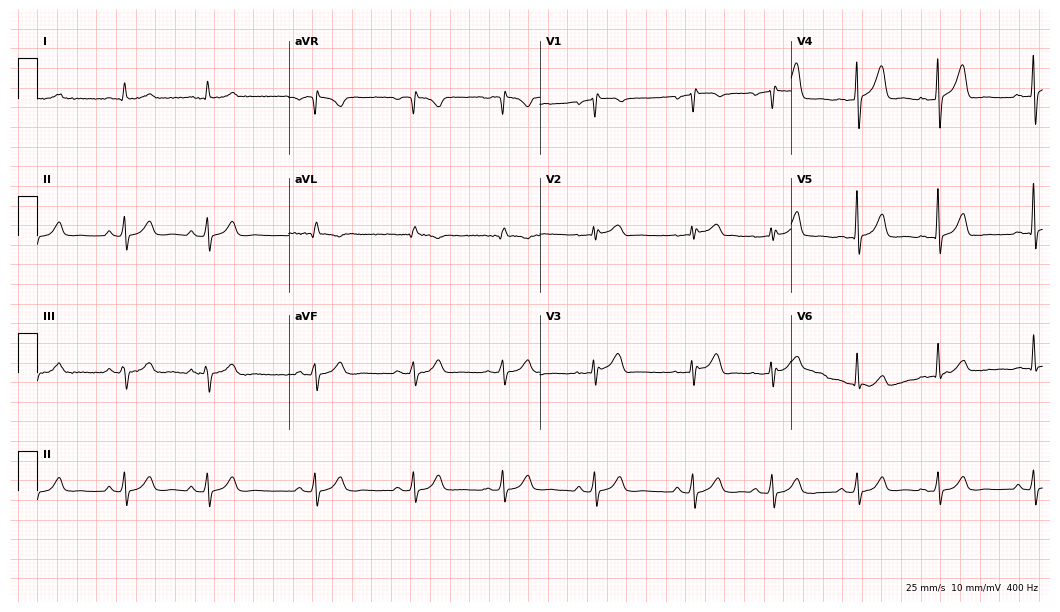
ECG — a man, 65 years old. Labelled as a normal ECG.